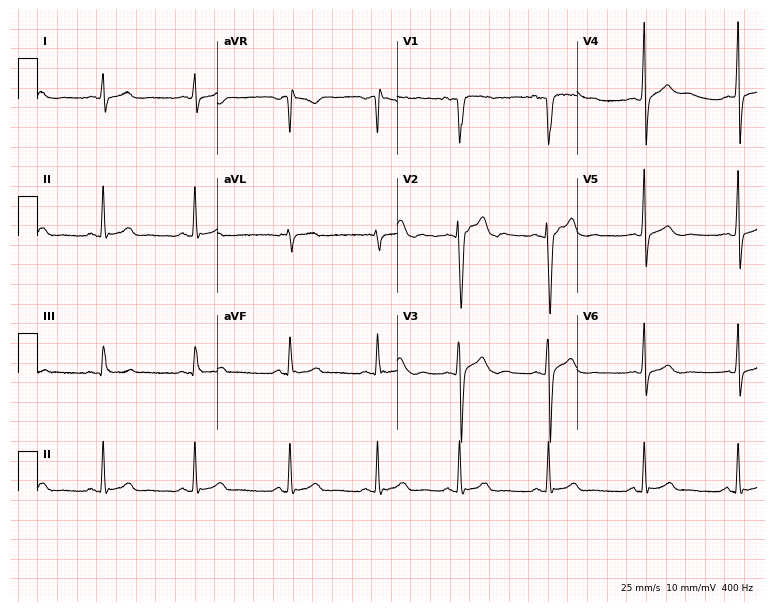
Resting 12-lead electrocardiogram. Patient: a man, 25 years old. None of these six findings is recorded: first-degree AV block, right bundle branch block (RBBB), left bundle branch block (LBBB), sinus bradycardia, atrial fibrillation (AF), sinus tachycardia. Findings outside these six are not listed.